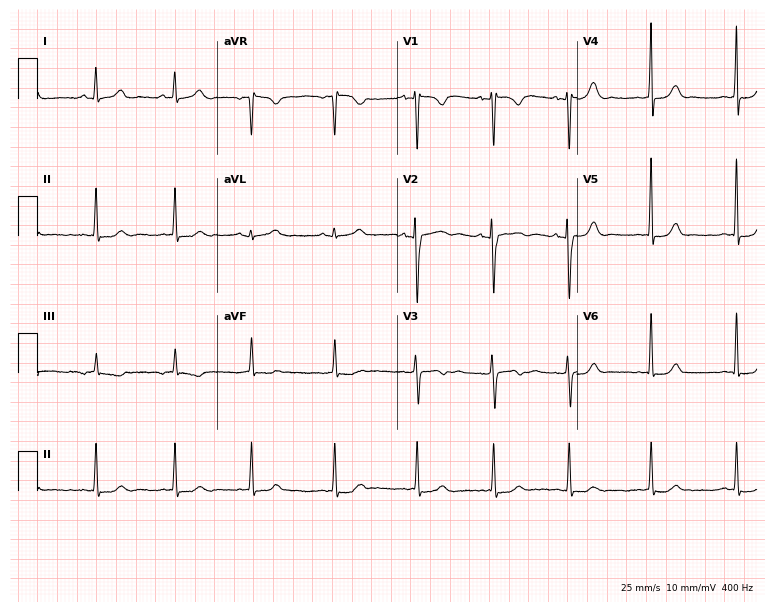
12-lead ECG from a 29-year-old female (7.3-second recording at 400 Hz). Recorded interpretation: within normal limits.